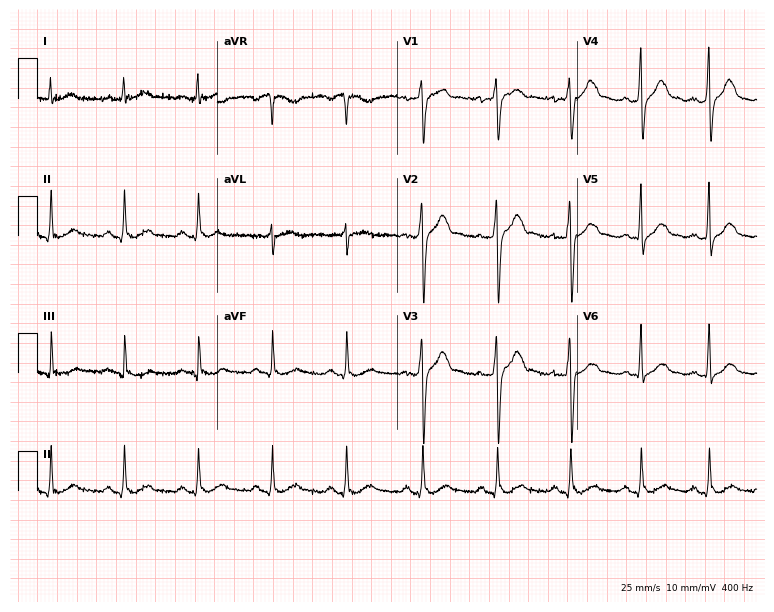
12-lead ECG from a man, 39 years old. Labelled as a normal ECG.